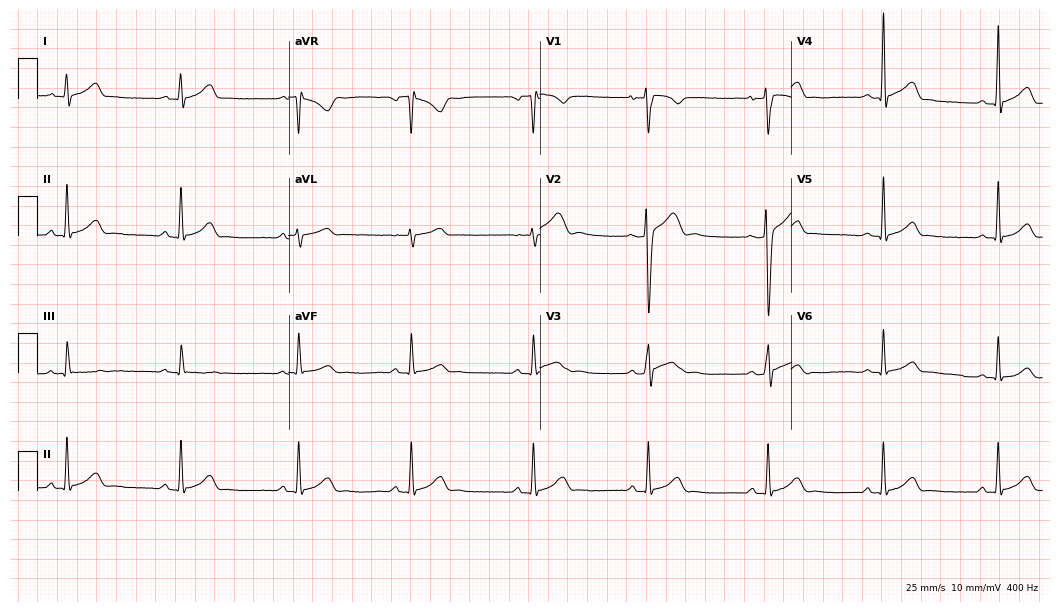
12-lead ECG from a man, 19 years old. Labelled as a normal ECG.